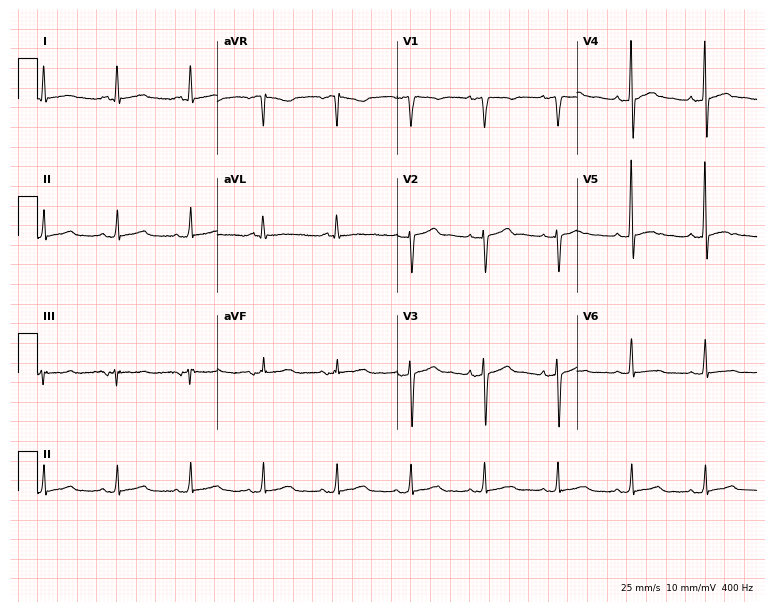
12-lead ECG (7.3-second recording at 400 Hz) from a 57-year-old woman. Screened for six findings — first-degree AV block, right bundle branch block, left bundle branch block, sinus bradycardia, atrial fibrillation, sinus tachycardia — none is recorded. Other findings, if any, are not listed.